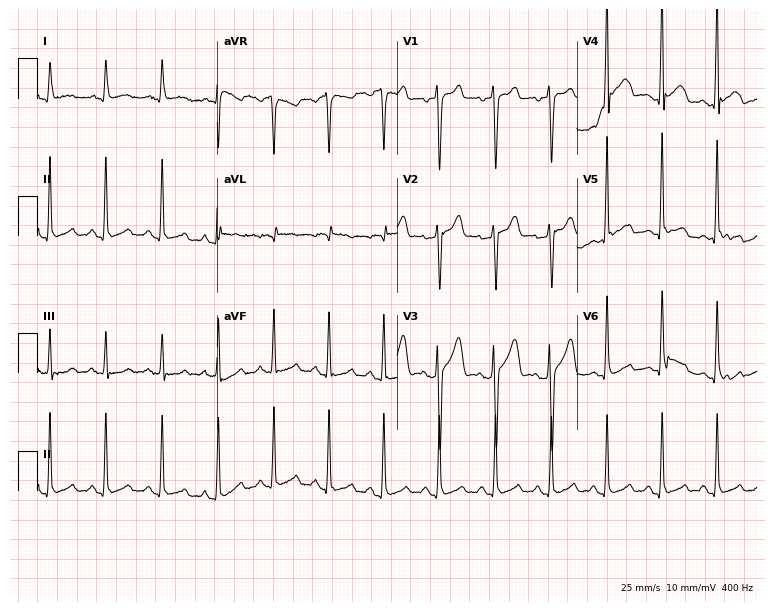
12-lead ECG from a 32-year-old male patient. Shows sinus tachycardia (a sinus rate of 100 beats per minute or more).